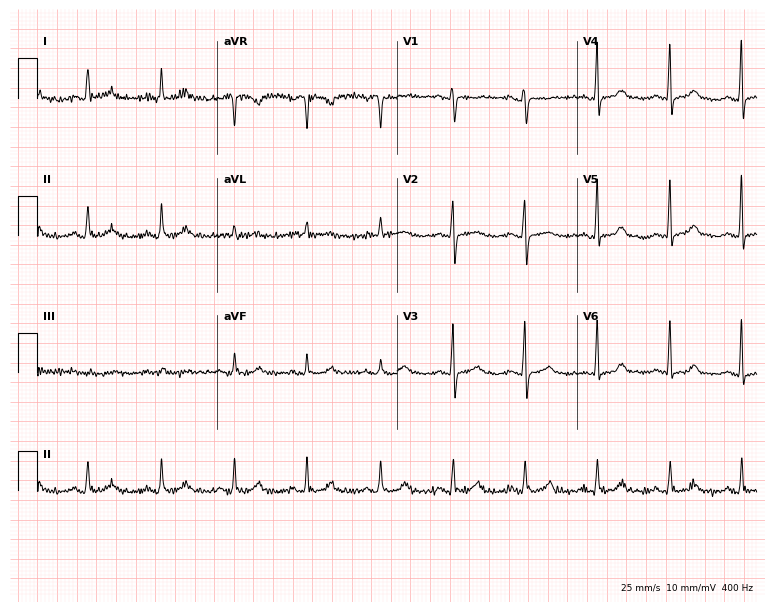
Standard 12-lead ECG recorded from a 56-year-old female (7.3-second recording at 400 Hz). Read as a normal ECG.